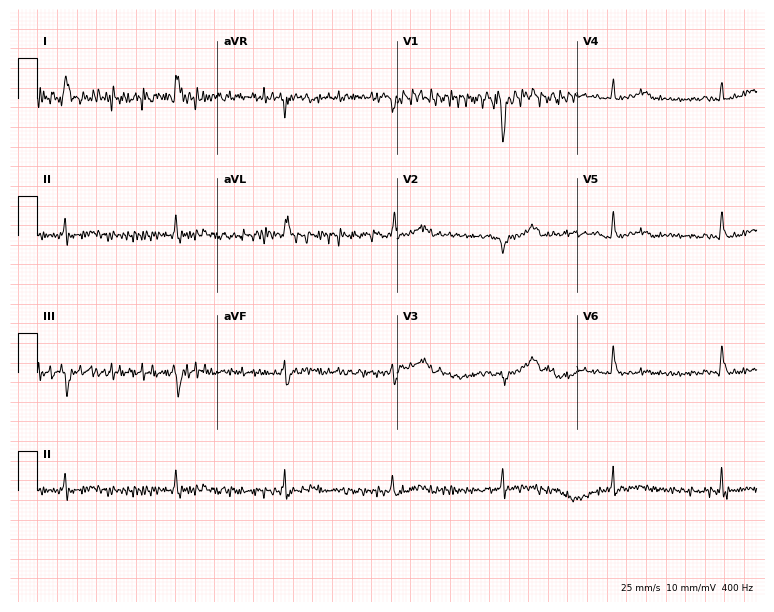
Electrocardiogram (7.3-second recording at 400 Hz), a male, 56 years old. Of the six screened findings (first-degree AV block, right bundle branch block, left bundle branch block, sinus bradycardia, atrial fibrillation, sinus tachycardia), none is recorded. Findings outside these six are not listed.